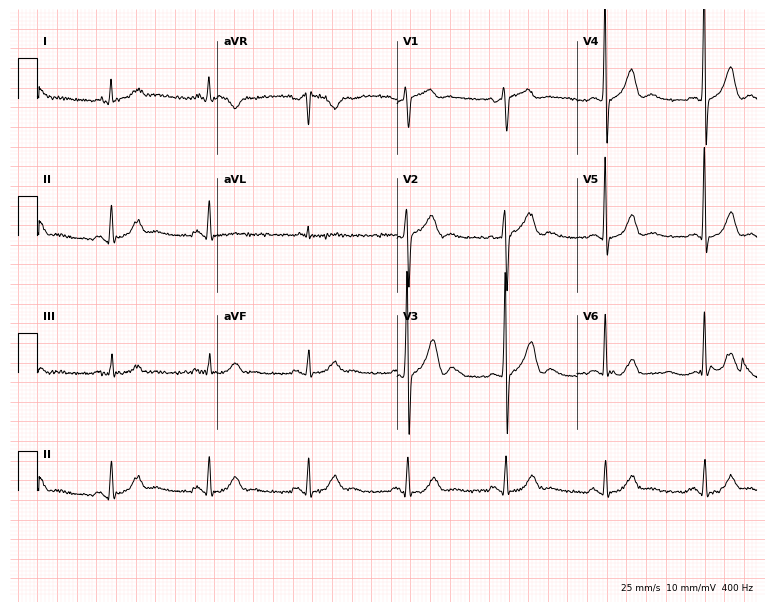
ECG (7.3-second recording at 400 Hz) — a man, 64 years old. Labelled as a normal ECG.